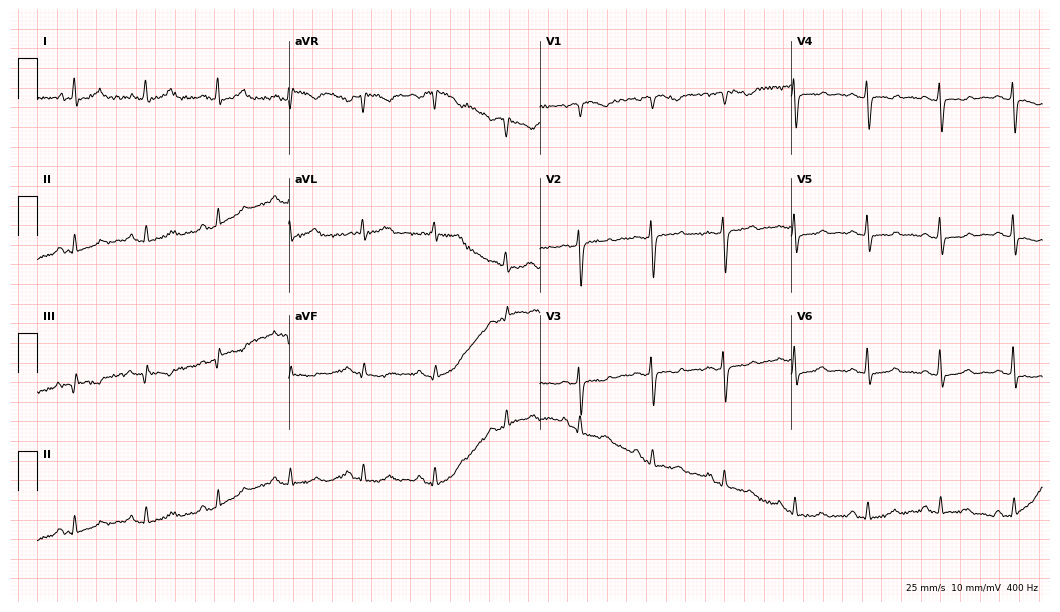
Resting 12-lead electrocardiogram (10.2-second recording at 400 Hz). Patient: a female, 51 years old. None of these six findings is recorded: first-degree AV block, right bundle branch block, left bundle branch block, sinus bradycardia, atrial fibrillation, sinus tachycardia.